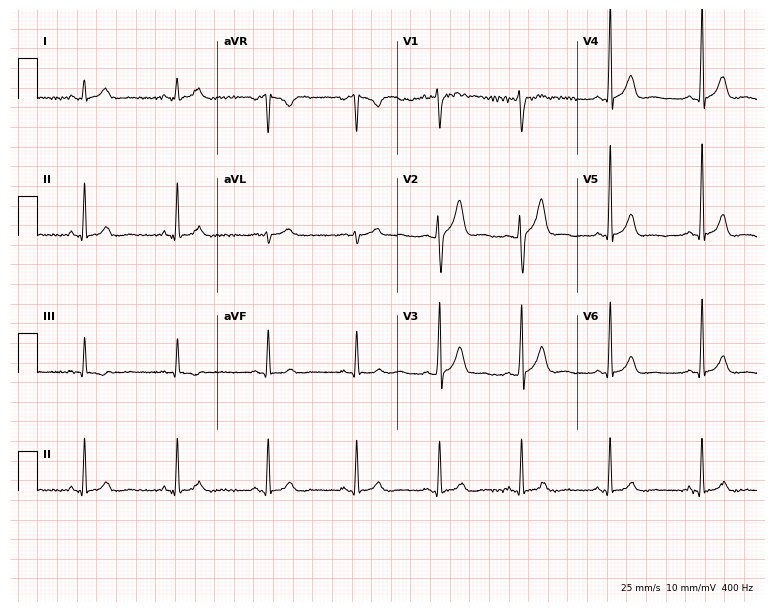
ECG (7.3-second recording at 400 Hz) — a male, 32 years old. Screened for six findings — first-degree AV block, right bundle branch block (RBBB), left bundle branch block (LBBB), sinus bradycardia, atrial fibrillation (AF), sinus tachycardia — none is recorded.